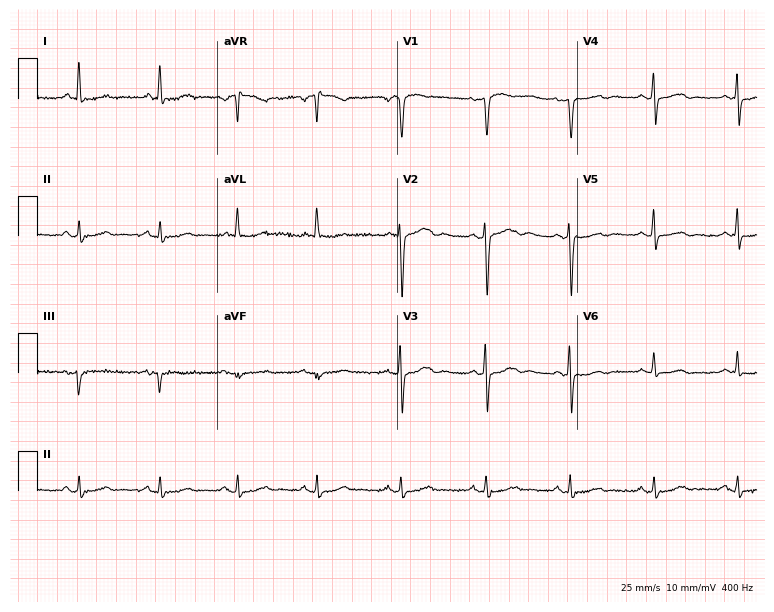
Standard 12-lead ECG recorded from a 50-year-old female (7.3-second recording at 400 Hz). None of these six findings is recorded: first-degree AV block, right bundle branch block, left bundle branch block, sinus bradycardia, atrial fibrillation, sinus tachycardia. Only these six findings were labelled.